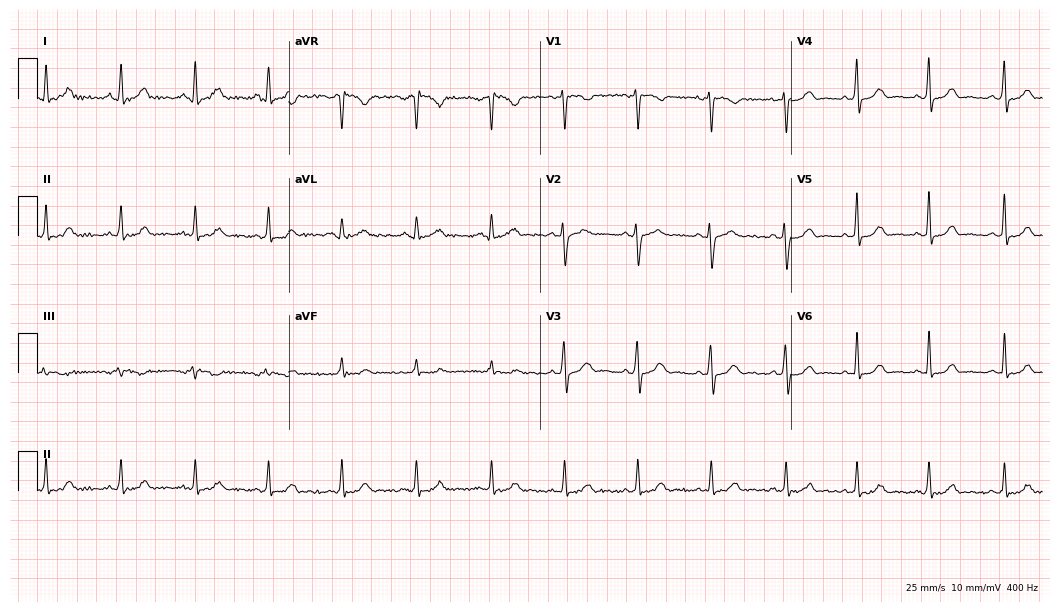
Standard 12-lead ECG recorded from a female, 37 years old. Read as a normal ECG.